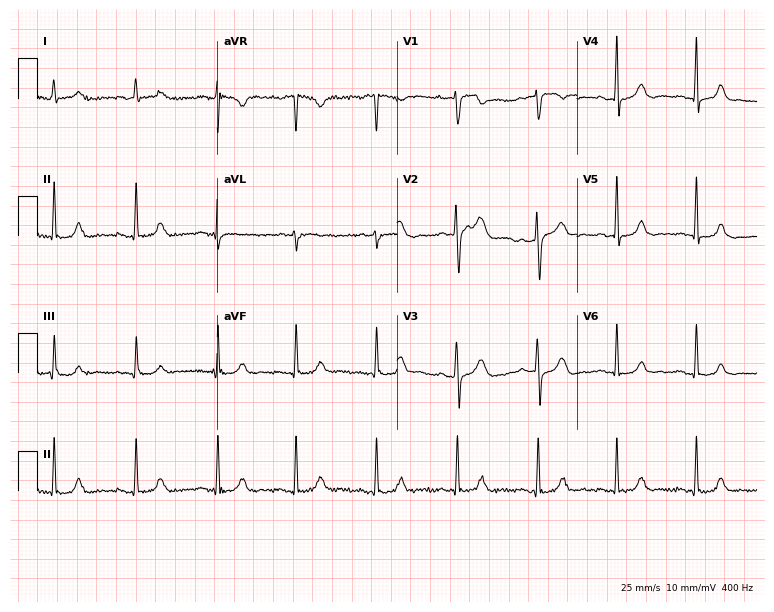
12-lead ECG from a 36-year-old woman. No first-degree AV block, right bundle branch block (RBBB), left bundle branch block (LBBB), sinus bradycardia, atrial fibrillation (AF) or sinus tachycardia recorded for this tracing.